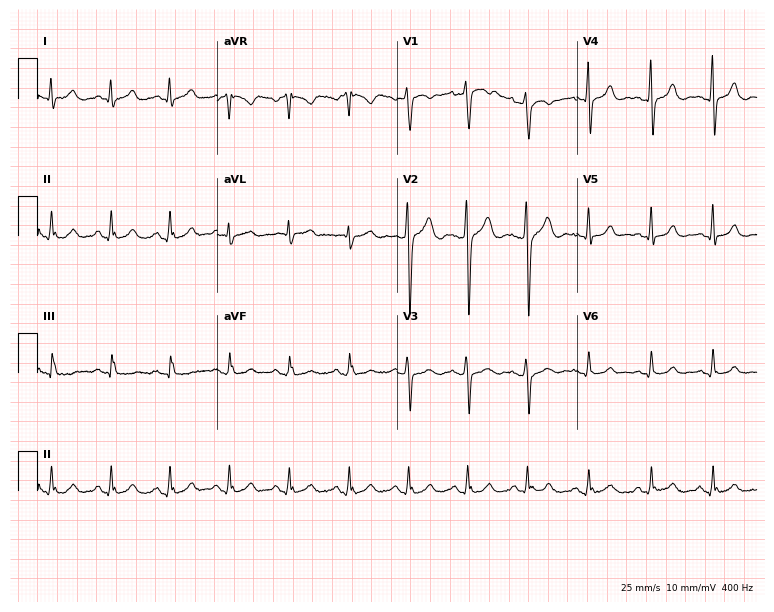
Resting 12-lead electrocardiogram. Patient: a man, 50 years old. None of these six findings is recorded: first-degree AV block, right bundle branch block, left bundle branch block, sinus bradycardia, atrial fibrillation, sinus tachycardia.